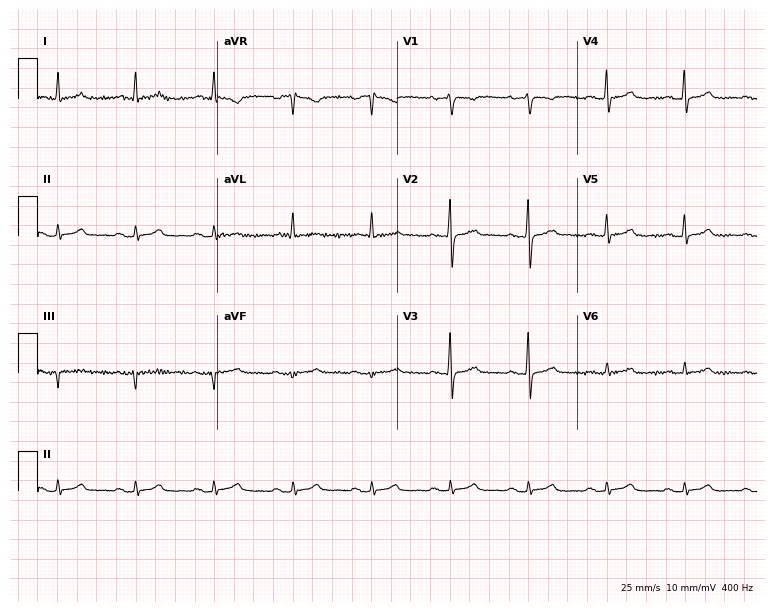
Resting 12-lead electrocardiogram (7.3-second recording at 400 Hz). Patient: a 61-year-old female. Read as a normal ECG.